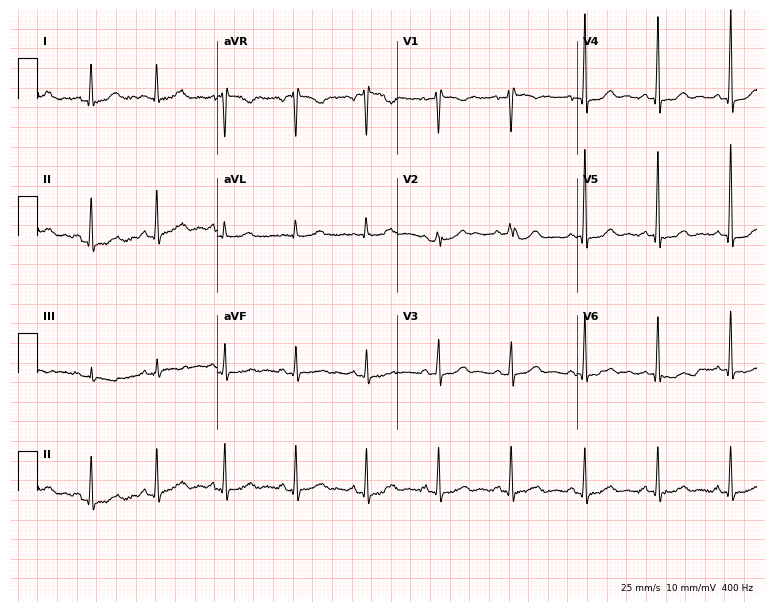
ECG — a 57-year-old woman. Labelled as a normal ECG.